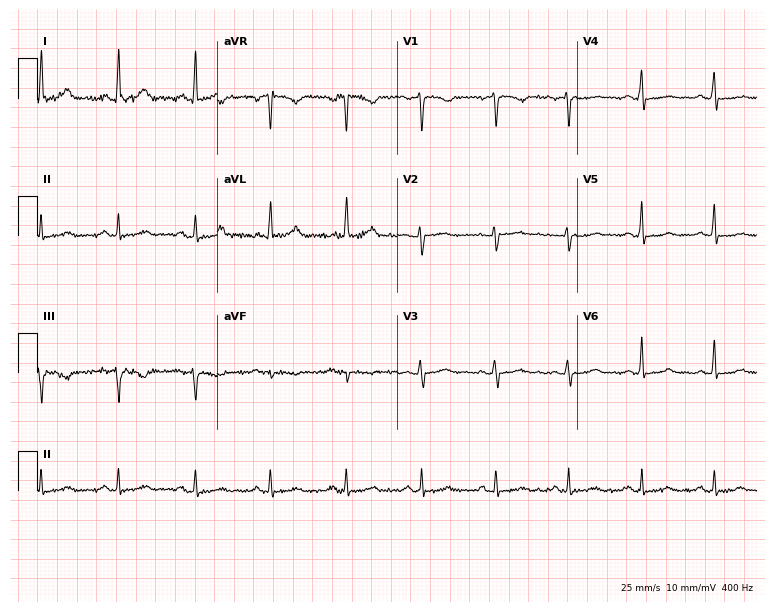
Standard 12-lead ECG recorded from a 42-year-old female patient (7.3-second recording at 400 Hz). Read as a normal ECG.